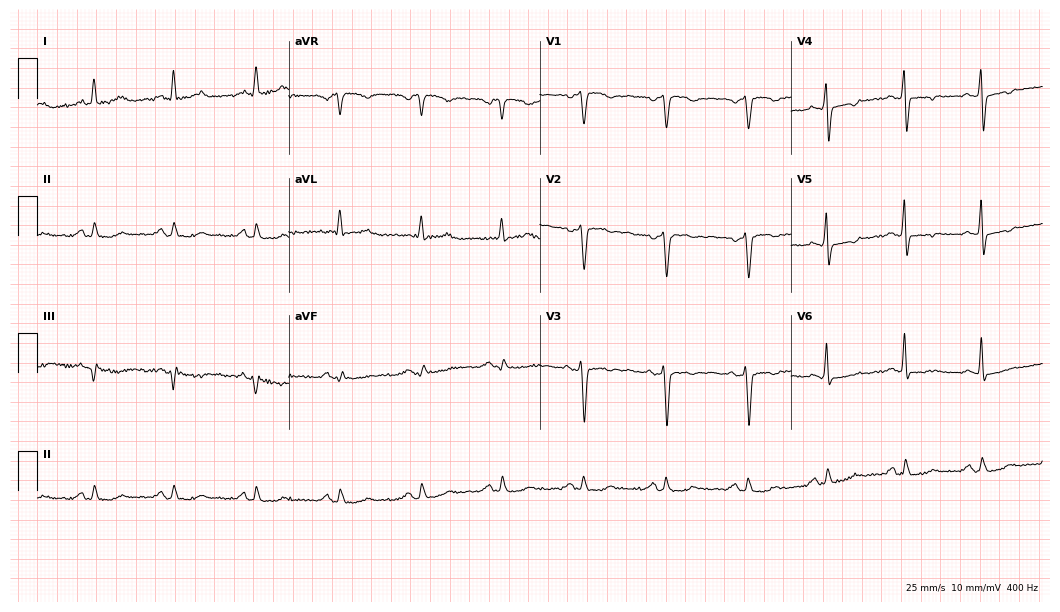
12-lead ECG from a male patient, 50 years old. Screened for six findings — first-degree AV block, right bundle branch block (RBBB), left bundle branch block (LBBB), sinus bradycardia, atrial fibrillation (AF), sinus tachycardia — none is recorded. Other findings, if any, are not listed.